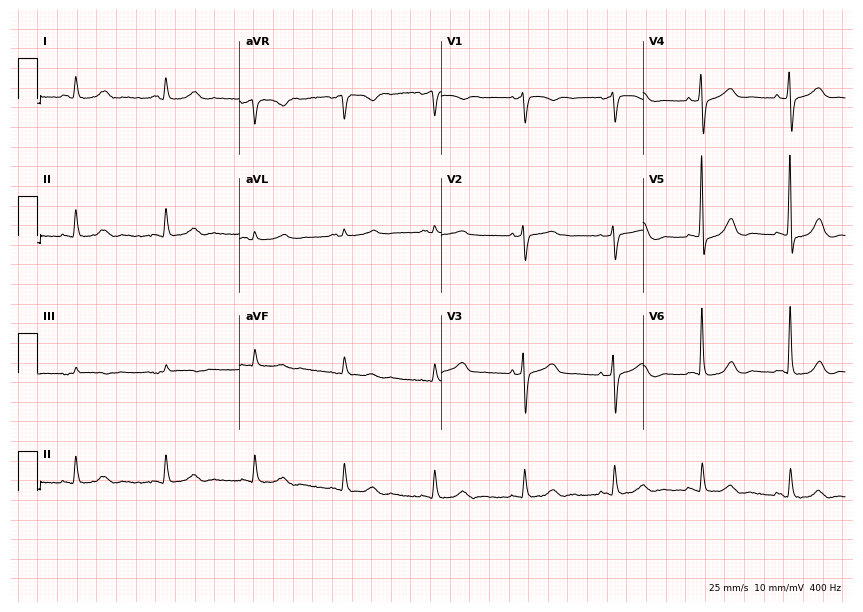
Electrocardiogram (8.2-second recording at 400 Hz), a female, 66 years old. Overall reading on record: normal ECG.